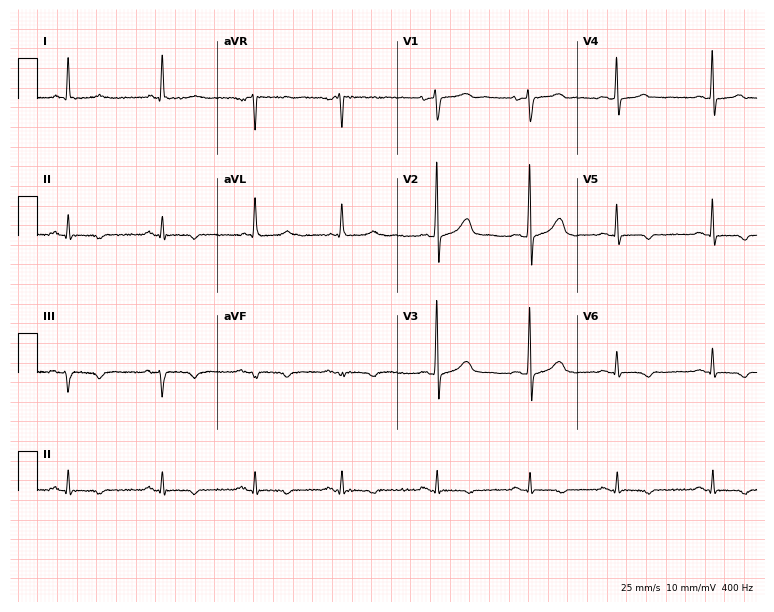
Electrocardiogram (7.3-second recording at 400 Hz), a 73-year-old female. Of the six screened findings (first-degree AV block, right bundle branch block (RBBB), left bundle branch block (LBBB), sinus bradycardia, atrial fibrillation (AF), sinus tachycardia), none is recorded. Findings outside these six are not listed.